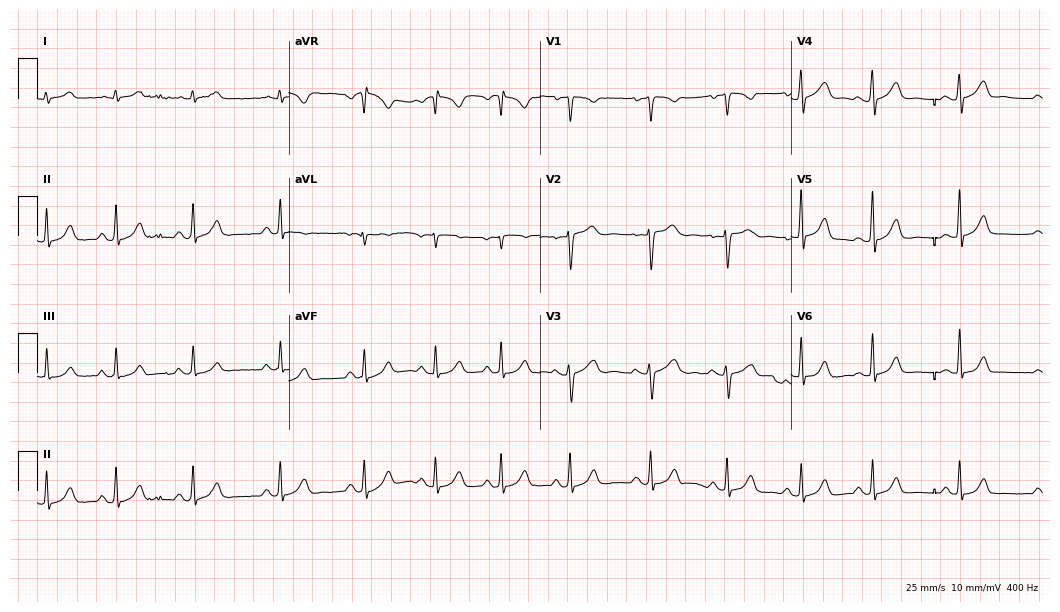
Electrocardiogram, a female patient, 20 years old. Overall reading on record: normal ECG.